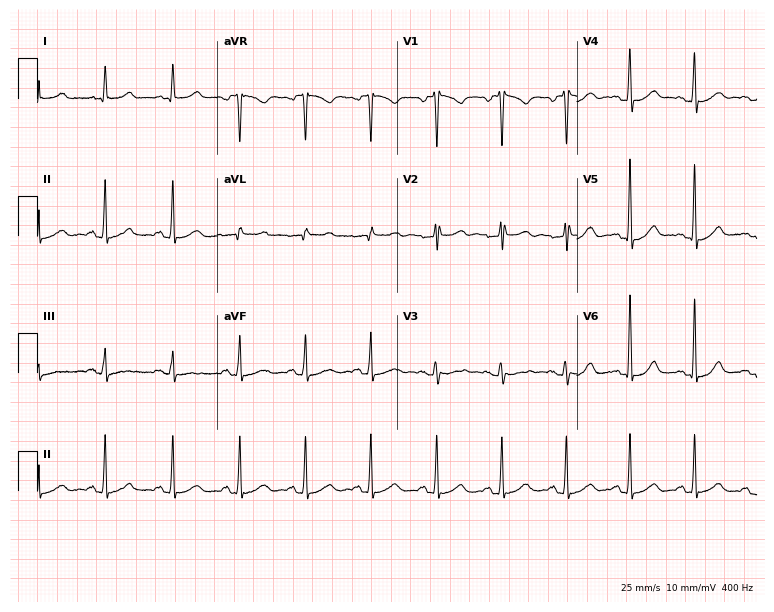
12-lead ECG from a 41-year-old male patient. No first-degree AV block, right bundle branch block, left bundle branch block, sinus bradycardia, atrial fibrillation or sinus tachycardia recorded for this tracing. Findings outside these six are not listed.